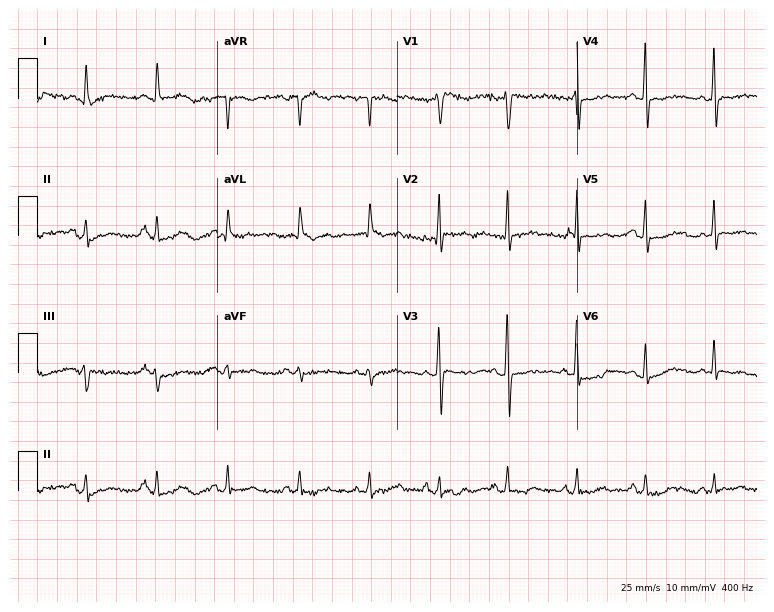
12-lead ECG (7.3-second recording at 400 Hz) from a woman, 79 years old. Screened for six findings — first-degree AV block, right bundle branch block, left bundle branch block, sinus bradycardia, atrial fibrillation, sinus tachycardia — none is recorded.